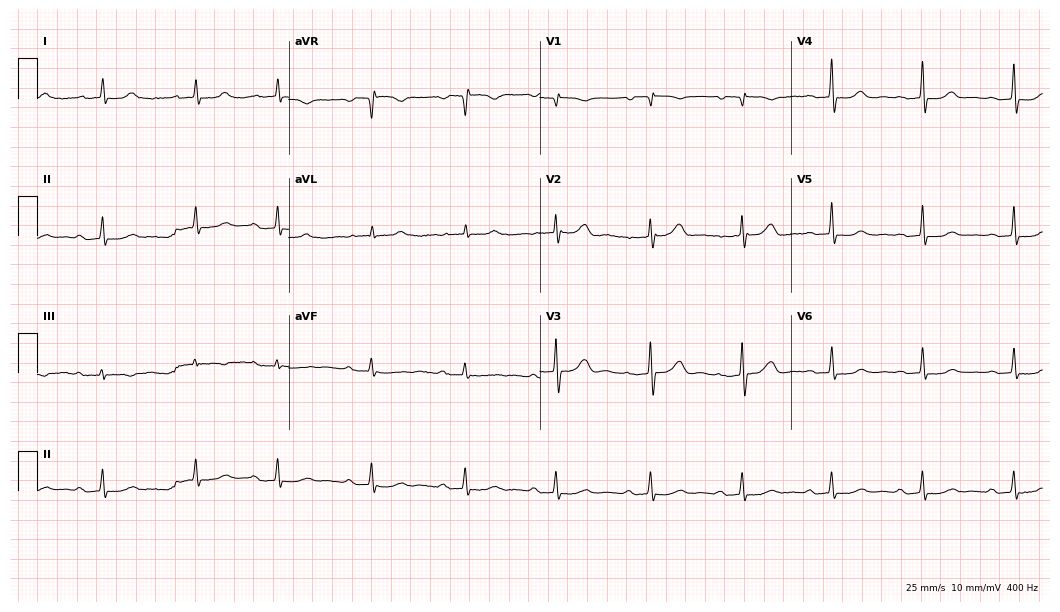
12-lead ECG (10.2-second recording at 400 Hz) from a woman, 85 years old. Labelled as a normal ECG.